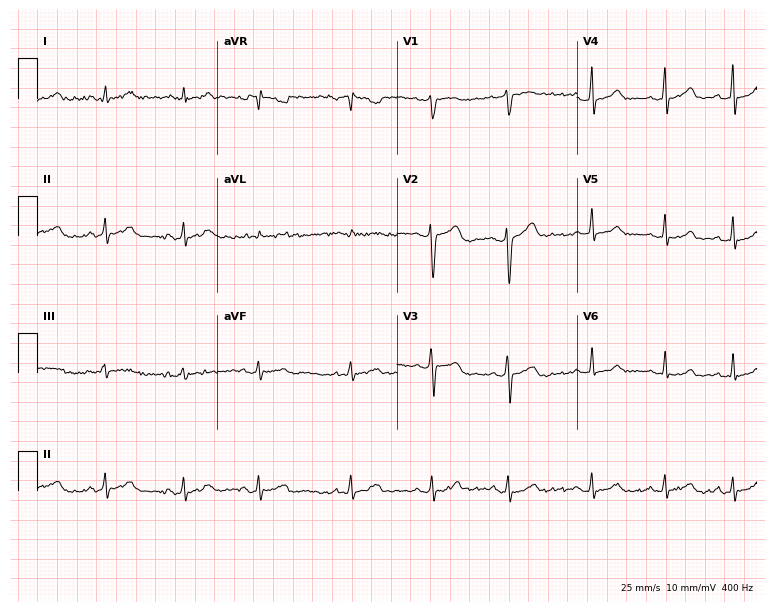
12-lead ECG from a female patient, 28 years old. No first-degree AV block, right bundle branch block, left bundle branch block, sinus bradycardia, atrial fibrillation or sinus tachycardia recorded for this tracing. Findings outside these six are not listed.